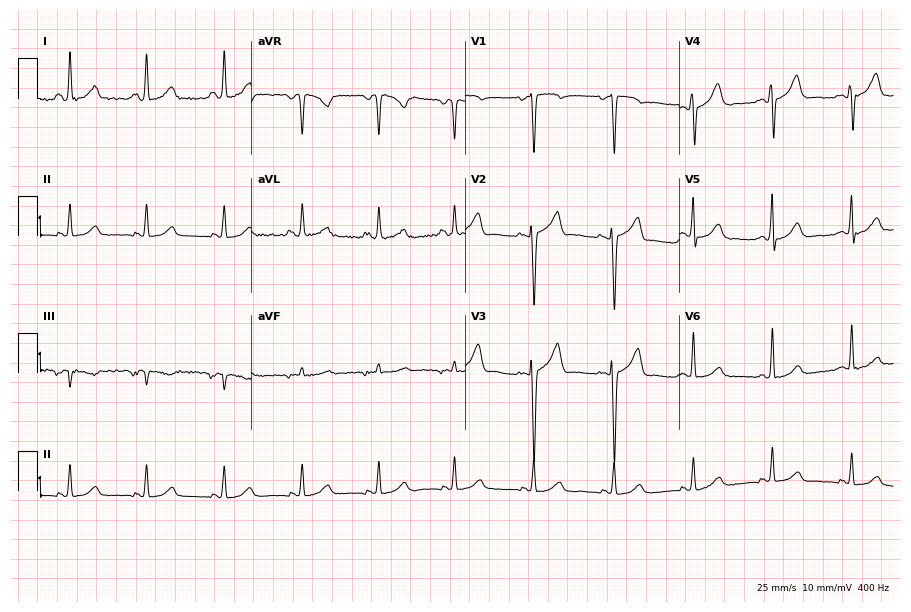
Standard 12-lead ECG recorded from a 55-year-old female patient. Read as a normal ECG.